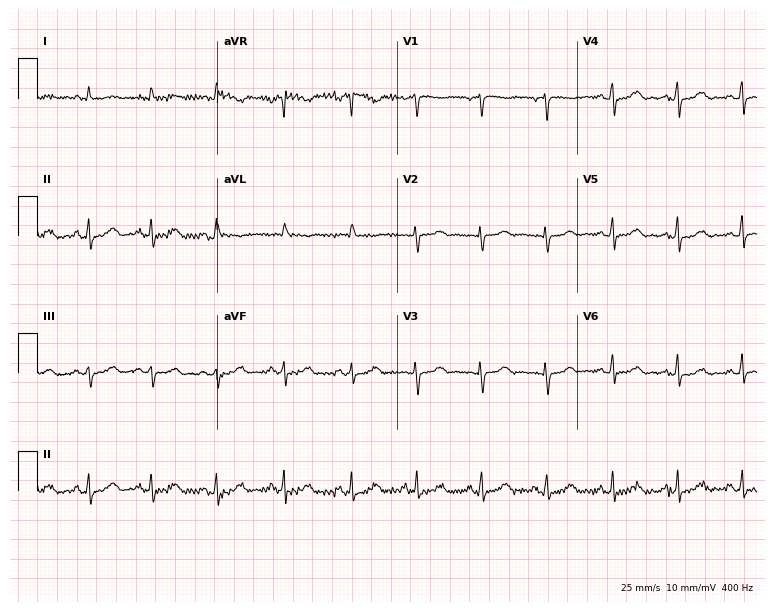
12-lead ECG from a woman, 43 years old (7.3-second recording at 400 Hz). No first-degree AV block, right bundle branch block, left bundle branch block, sinus bradycardia, atrial fibrillation or sinus tachycardia recorded for this tracing.